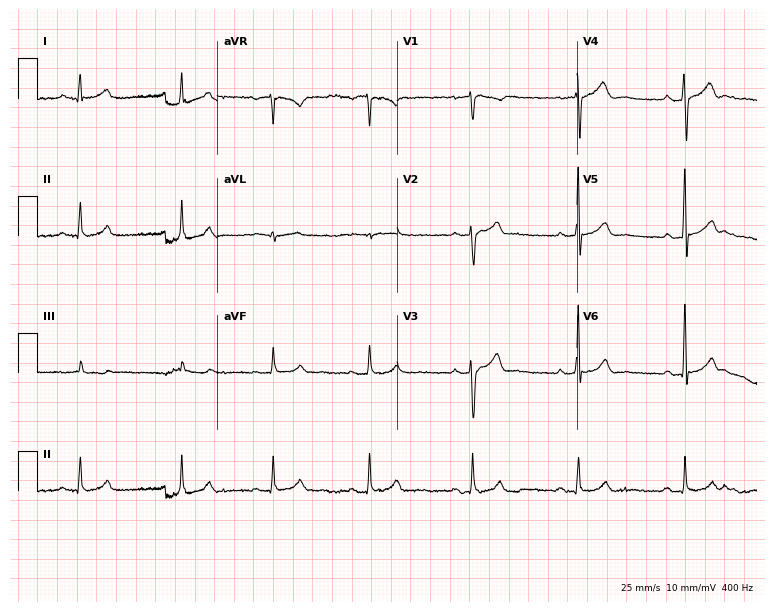
Resting 12-lead electrocardiogram. Patient: a 37-year-old man. None of these six findings is recorded: first-degree AV block, right bundle branch block, left bundle branch block, sinus bradycardia, atrial fibrillation, sinus tachycardia. Other findings, if any, are not listed.